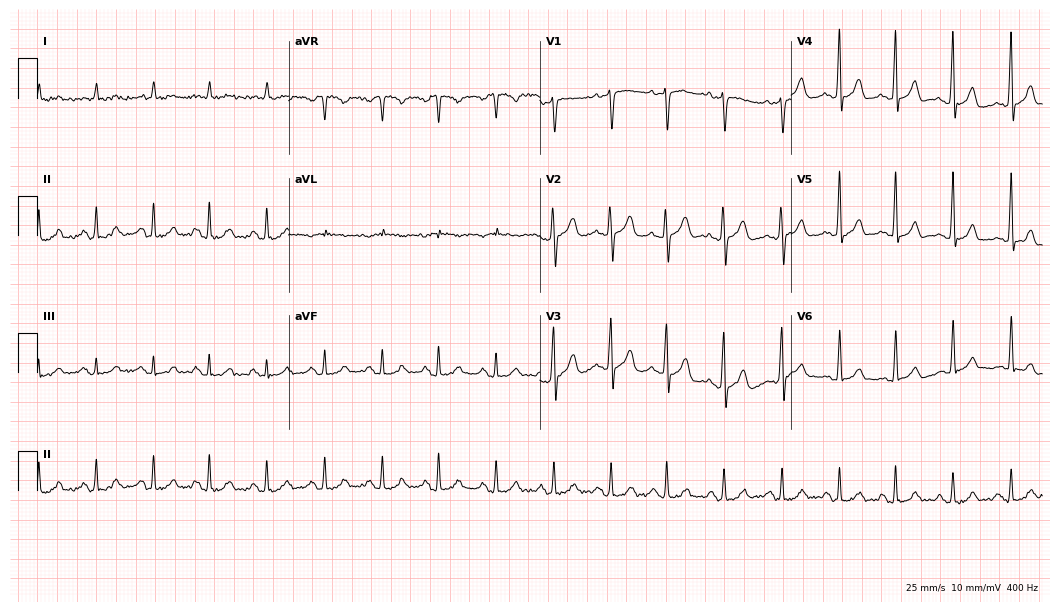
12-lead ECG (10.2-second recording at 400 Hz) from a male patient, 80 years old. Findings include sinus tachycardia (a sinus rate of 100 beats per minute or more).